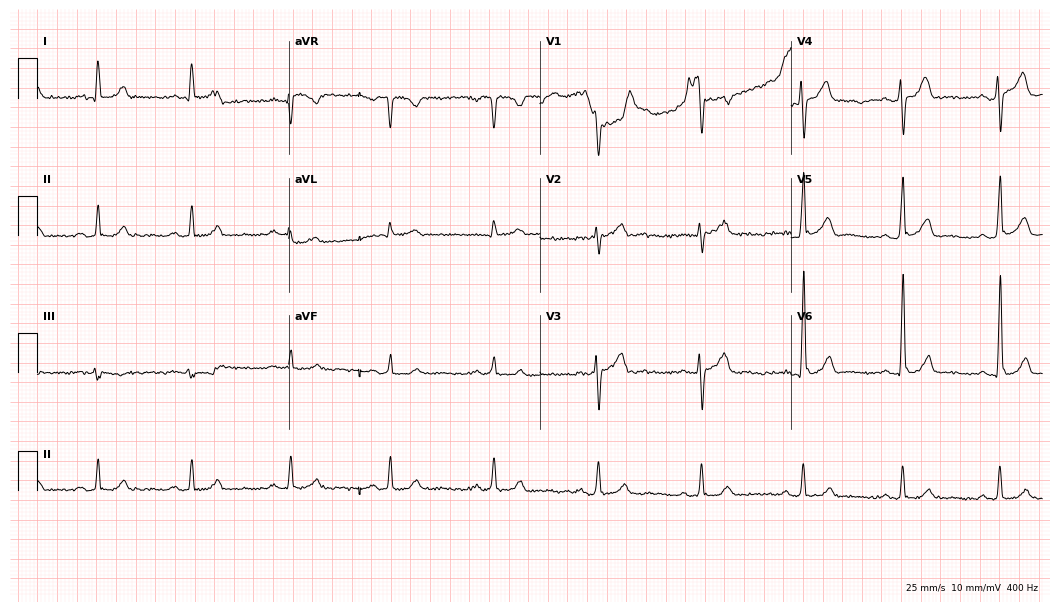
Standard 12-lead ECG recorded from a male patient, 45 years old (10.2-second recording at 400 Hz). Read as a normal ECG.